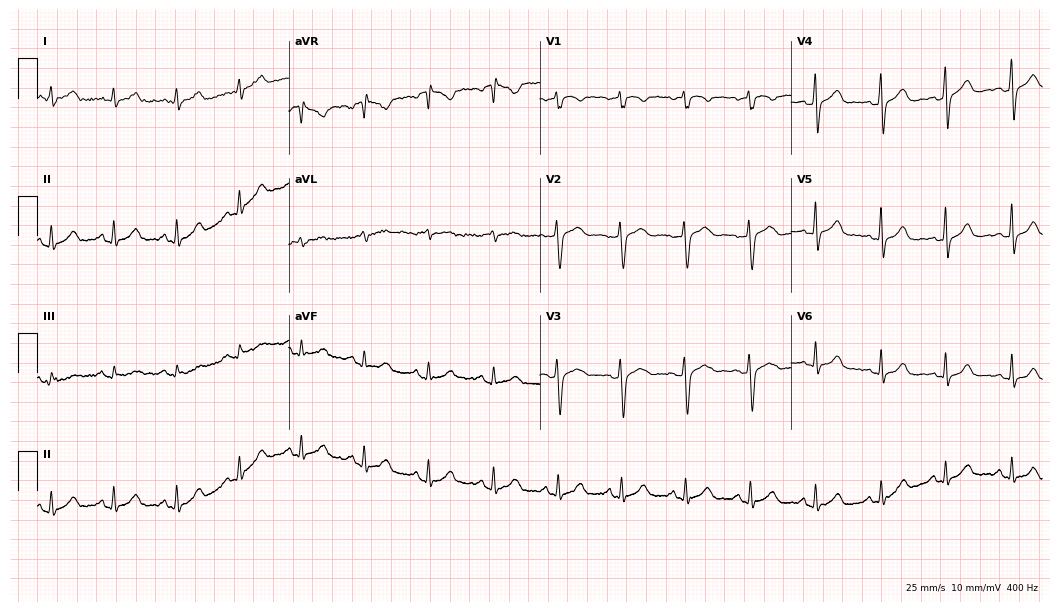
12-lead ECG (10.2-second recording at 400 Hz) from a 45-year-old female patient. Labelled as a normal ECG.